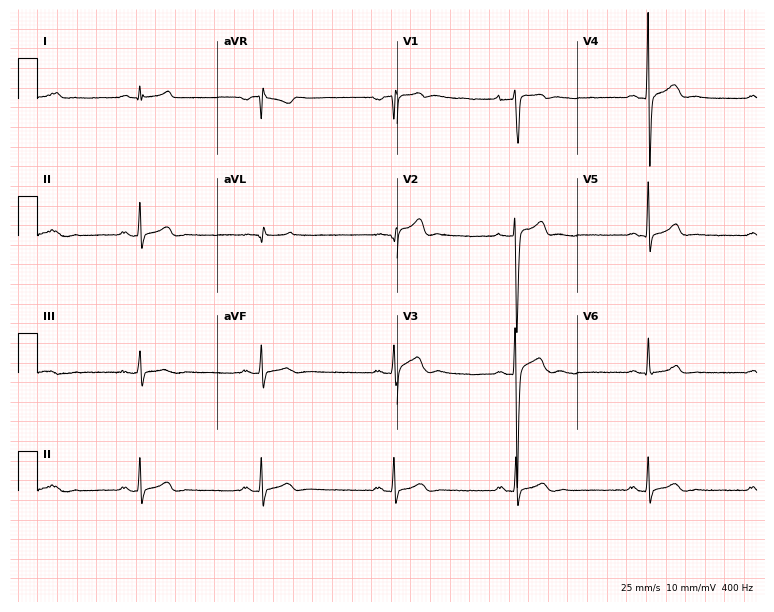
Resting 12-lead electrocardiogram (7.3-second recording at 400 Hz). Patient: a male, 20 years old. The tracing shows sinus bradycardia (a sinus rate of 50 beats per minute or less).